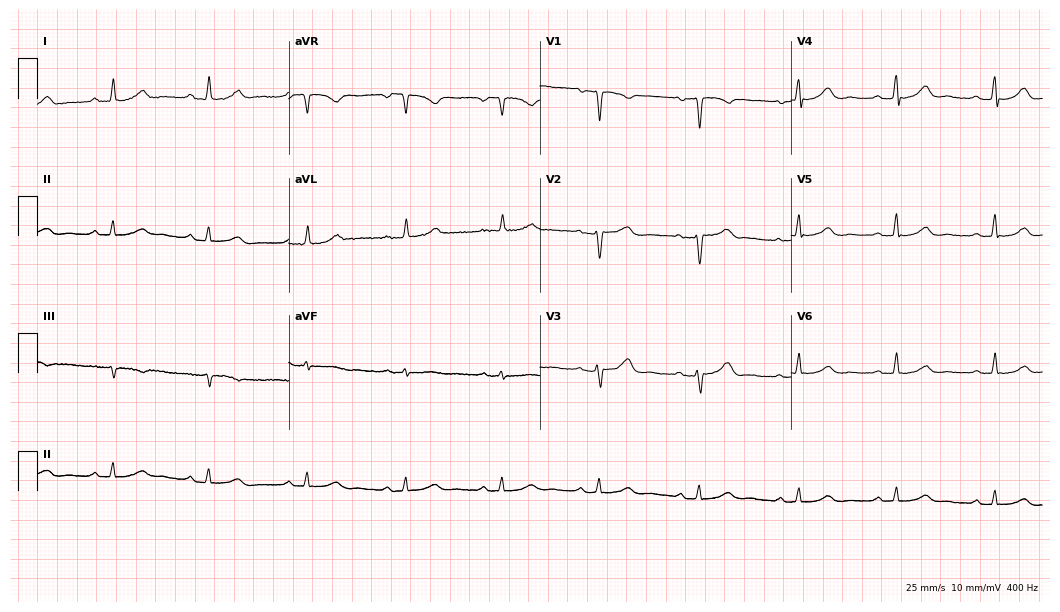
12-lead ECG from a female, 42 years old. No first-degree AV block, right bundle branch block, left bundle branch block, sinus bradycardia, atrial fibrillation or sinus tachycardia recorded for this tracing.